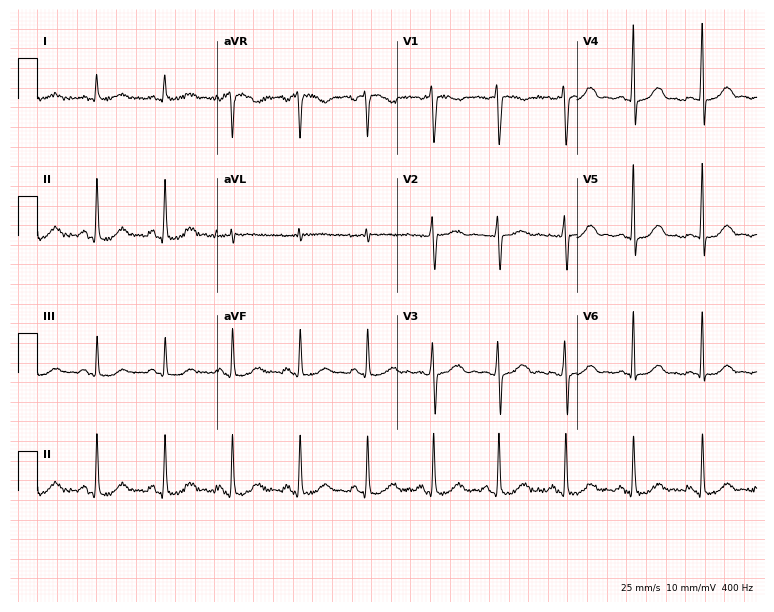
12-lead ECG from a female patient, 43 years old. Screened for six findings — first-degree AV block, right bundle branch block, left bundle branch block, sinus bradycardia, atrial fibrillation, sinus tachycardia — none is recorded.